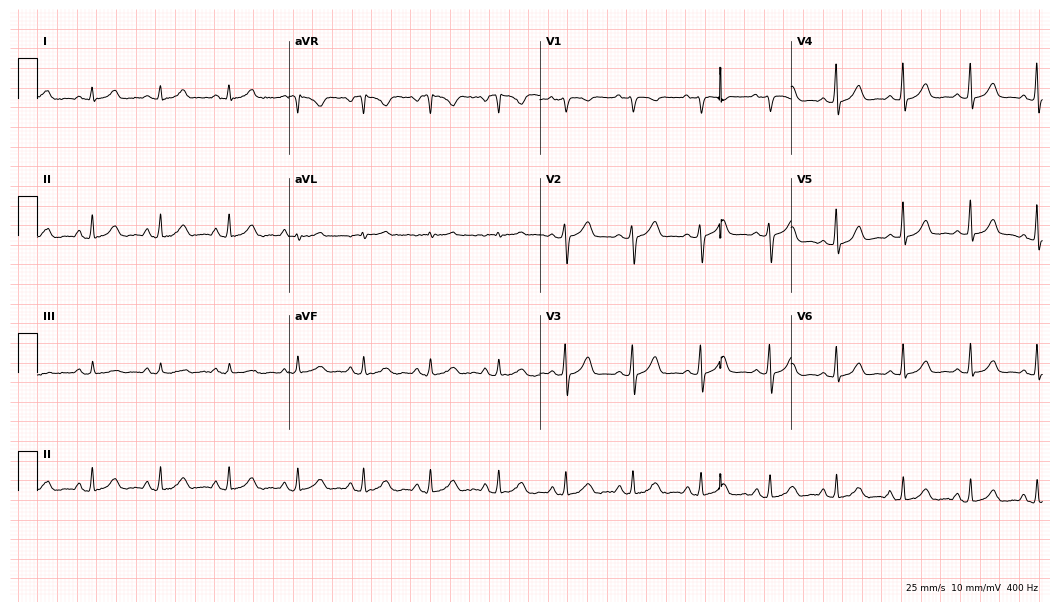
Electrocardiogram (10.2-second recording at 400 Hz), a female patient, 36 years old. Overall reading on record: normal ECG.